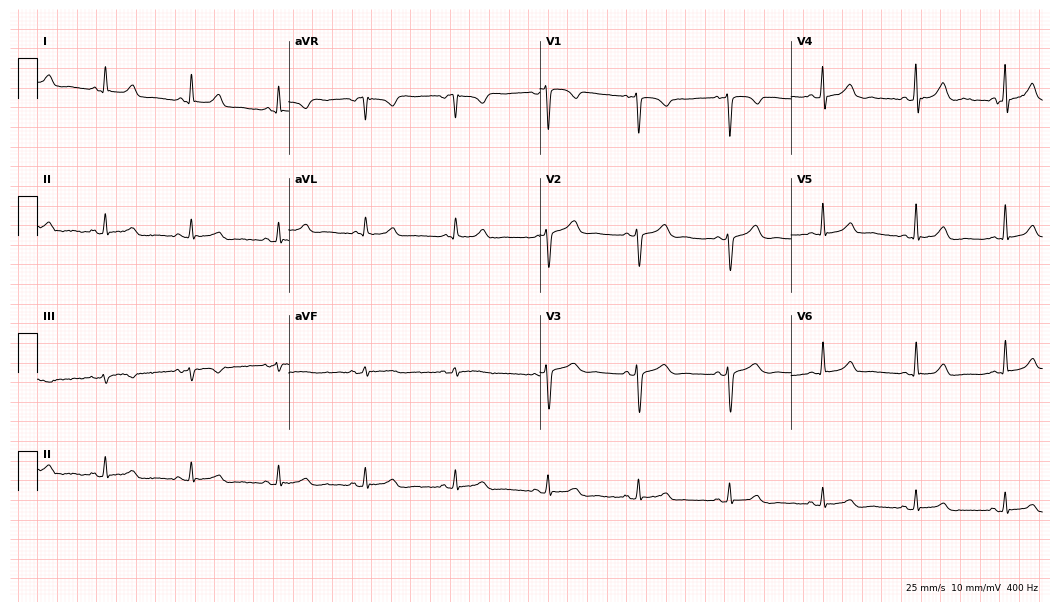
Standard 12-lead ECG recorded from a female patient, 45 years old. Read as a normal ECG.